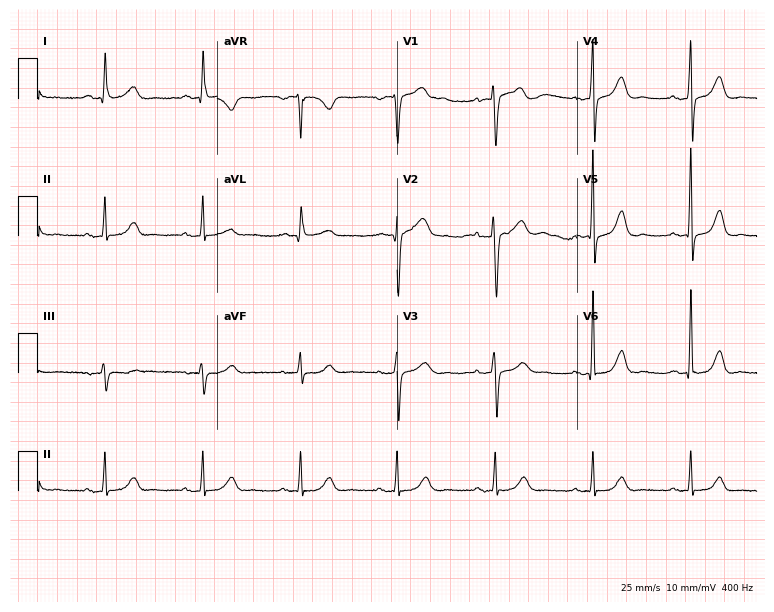
ECG (7.3-second recording at 400 Hz) — a 57-year-old woman. Labelled as a normal ECG.